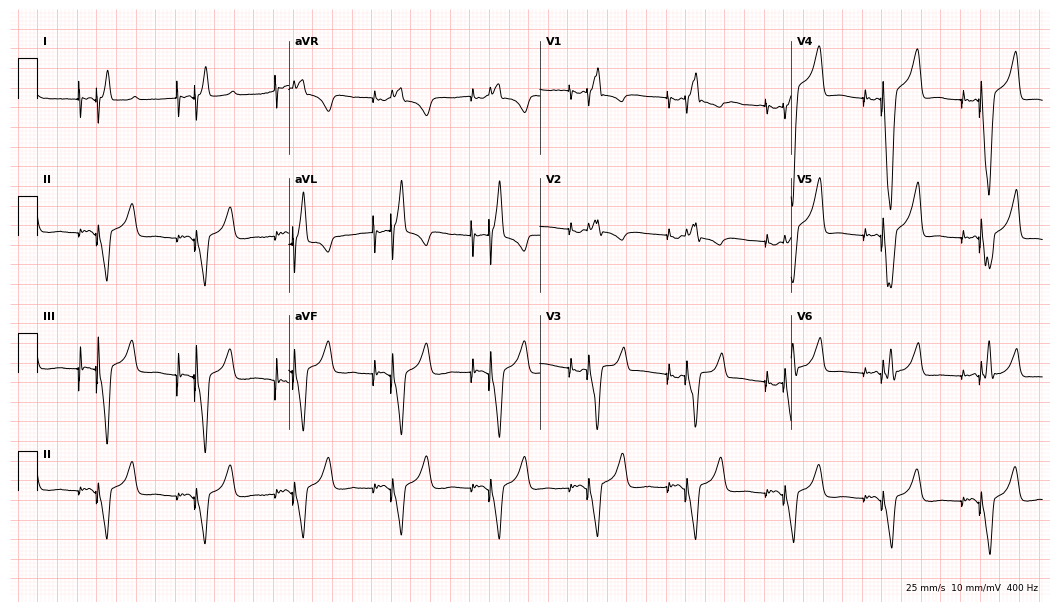
Electrocardiogram (10.2-second recording at 400 Hz), a 72-year-old male. Of the six screened findings (first-degree AV block, right bundle branch block, left bundle branch block, sinus bradycardia, atrial fibrillation, sinus tachycardia), none is recorded. Other findings, if any, are not listed.